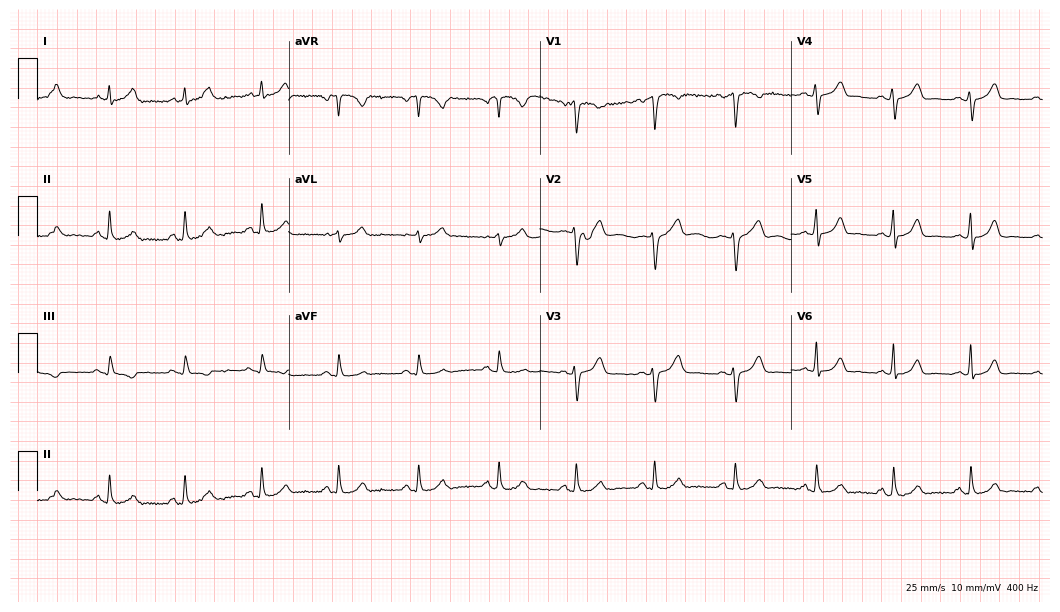
Electrocardiogram (10.2-second recording at 400 Hz), a 33-year-old female. Of the six screened findings (first-degree AV block, right bundle branch block (RBBB), left bundle branch block (LBBB), sinus bradycardia, atrial fibrillation (AF), sinus tachycardia), none is recorded.